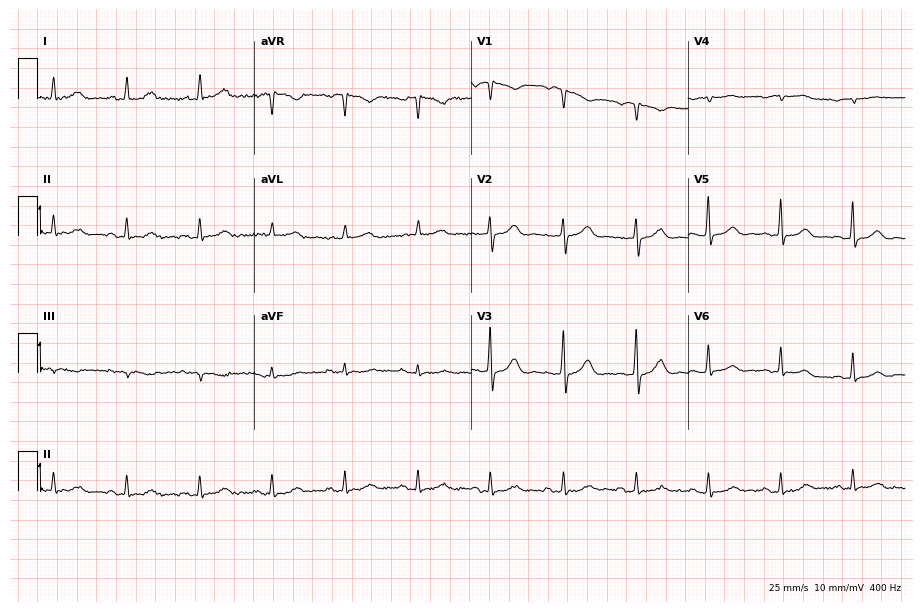
12-lead ECG (8.8-second recording at 400 Hz) from a 71-year-old female. Labelled as a normal ECG.